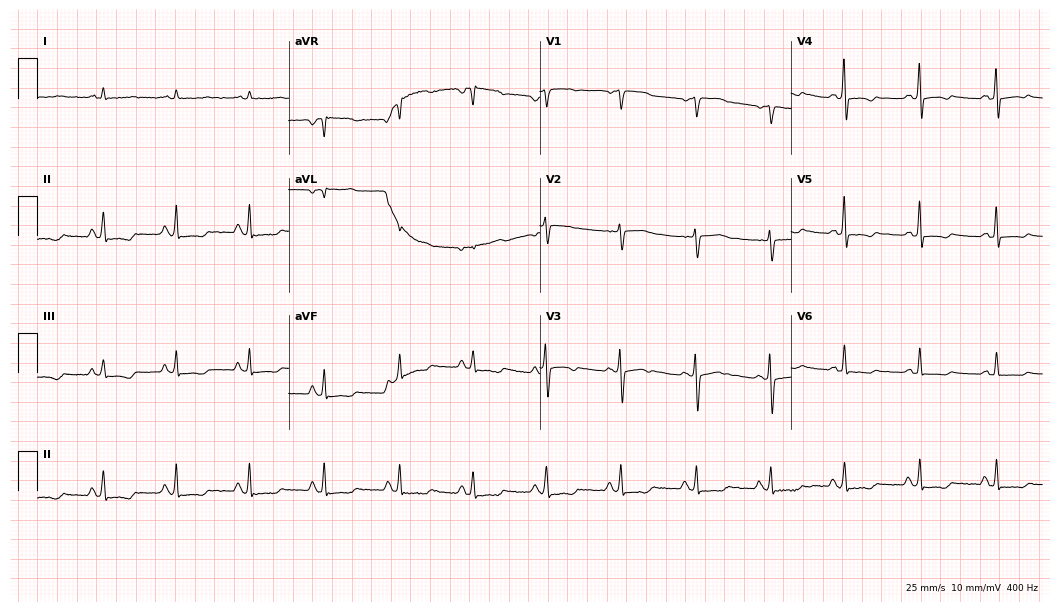
Resting 12-lead electrocardiogram. Patient: a 57-year-old woman. None of these six findings is recorded: first-degree AV block, right bundle branch block, left bundle branch block, sinus bradycardia, atrial fibrillation, sinus tachycardia.